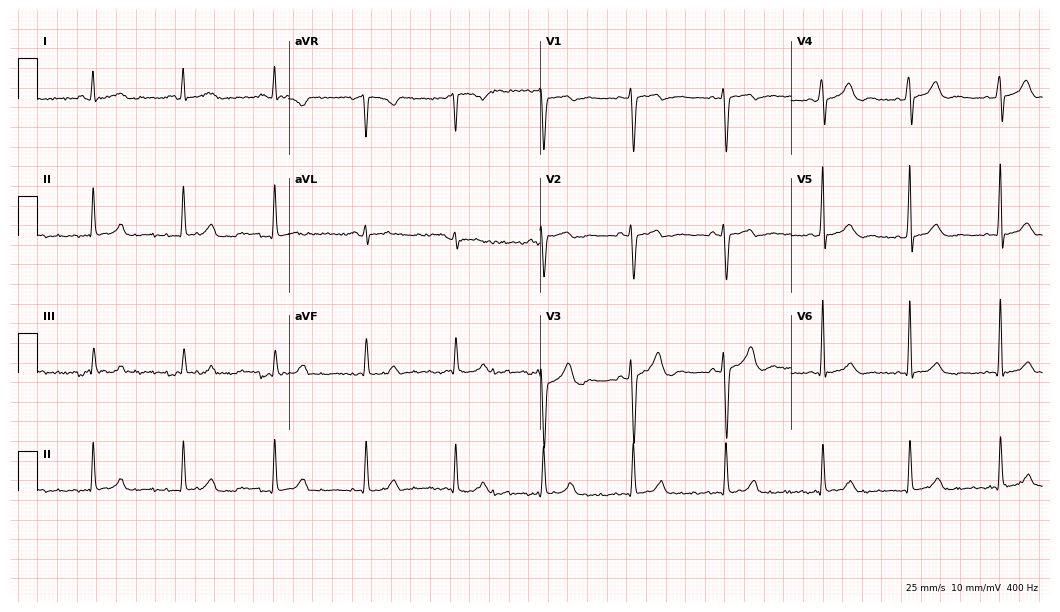
Standard 12-lead ECG recorded from a male patient, 46 years old (10.2-second recording at 400 Hz). None of these six findings is recorded: first-degree AV block, right bundle branch block, left bundle branch block, sinus bradycardia, atrial fibrillation, sinus tachycardia. Findings outside these six are not listed.